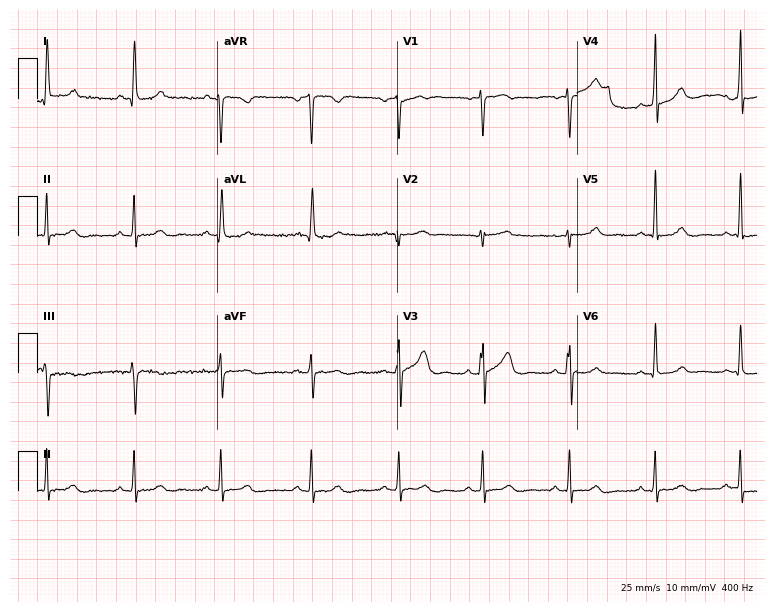
Electrocardiogram (7.3-second recording at 400 Hz), a woman, 48 years old. Overall reading on record: normal ECG.